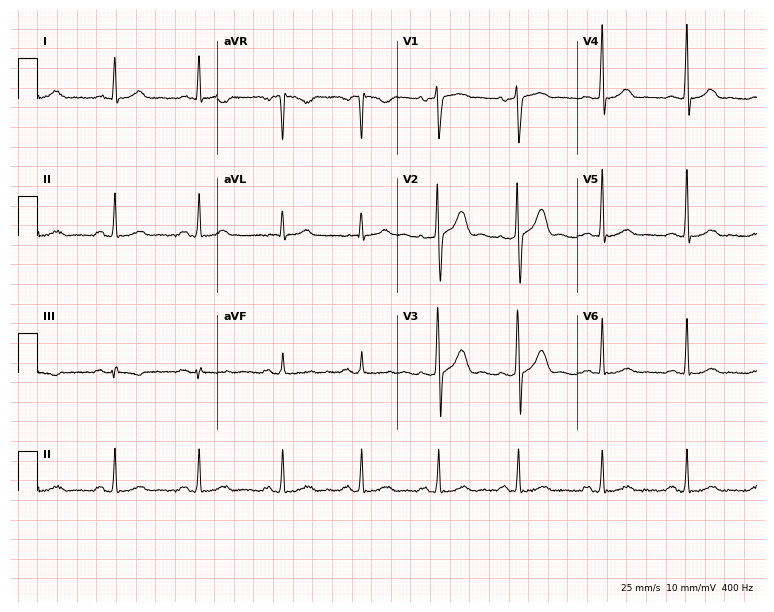
Electrocardiogram (7.3-second recording at 400 Hz), a male patient, 50 years old. Overall reading on record: normal ECG.